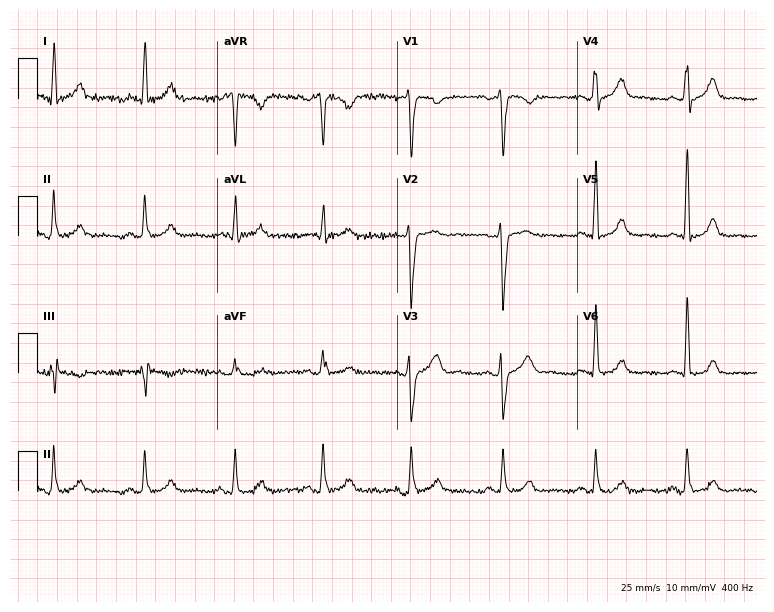
12-lead ECG from a 43-year-old male patient. Screened for six findings — first-degree AV block, right bundle branch block, left bundle branch block, sinus bradycardia, atrial fibrillation, sinus tachycardia — none is recorded. Only these six findings were labelled.